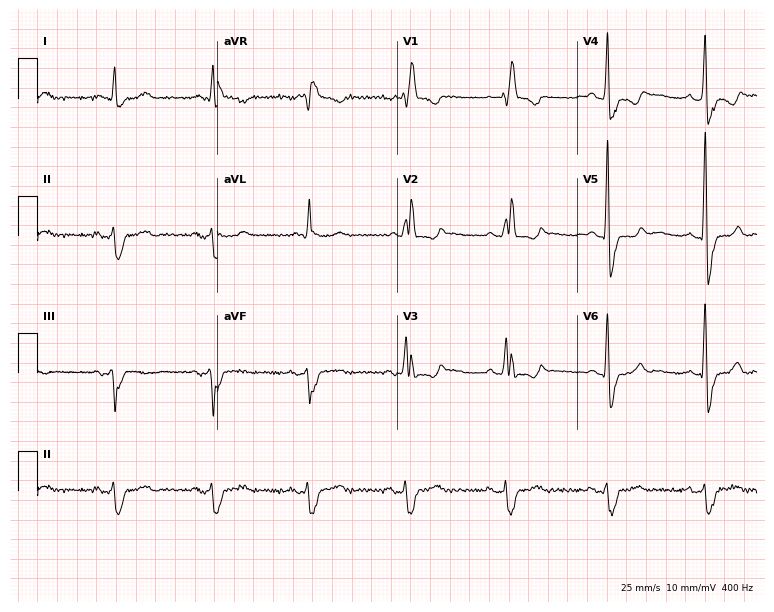
Standard 12-lead ECG recorded from a man, 71 years old. The tracing shows right bundle branch block.